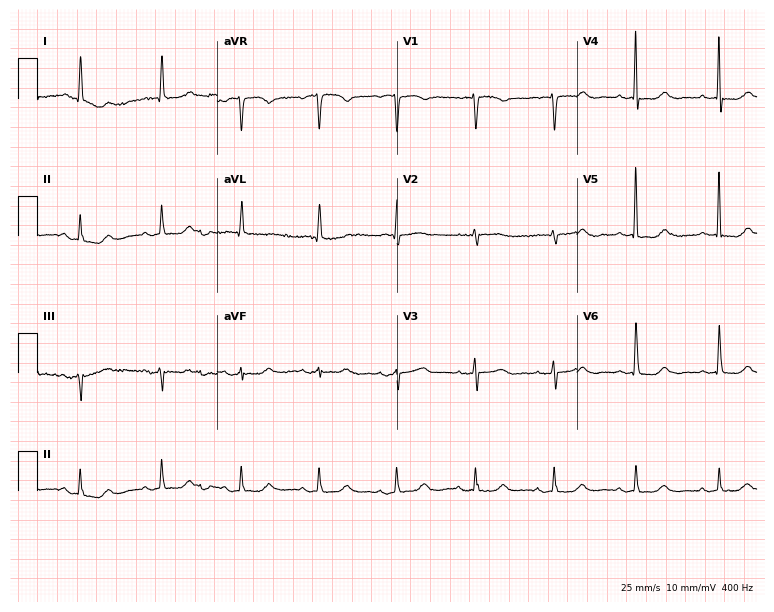
12-lead ECG from an 83-year-old female. No first-degree AV block, right bundle branch block (RBBB), left bundle branch block (LBBB), sinus bradycardia, atrial fibrillation (AF) or sinus tachycardia recorded for this tracing.